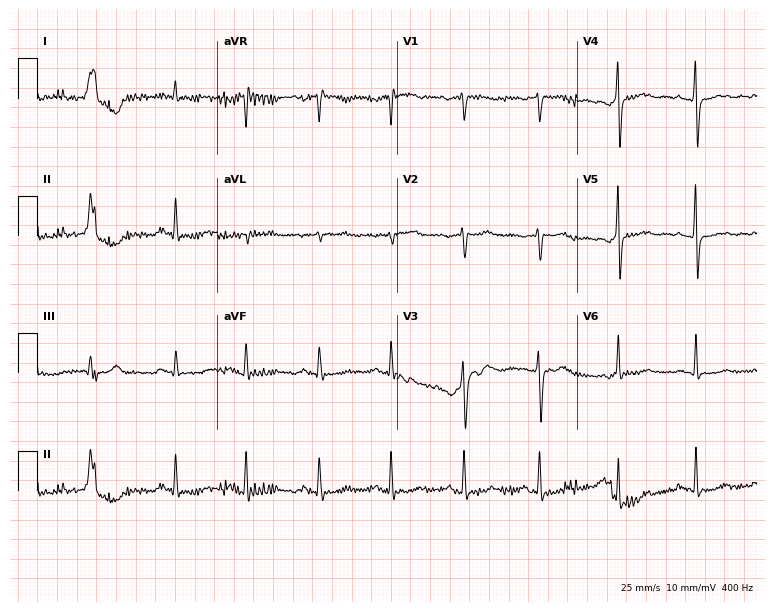
12-lead ECG from a 61-year-old female patient. Screened for six findings — first-degree AV block, right bundle branch block, left bundle branch block, sinus bradycardia, atrial fibrillation, sinus tachycardia — none is recorded.